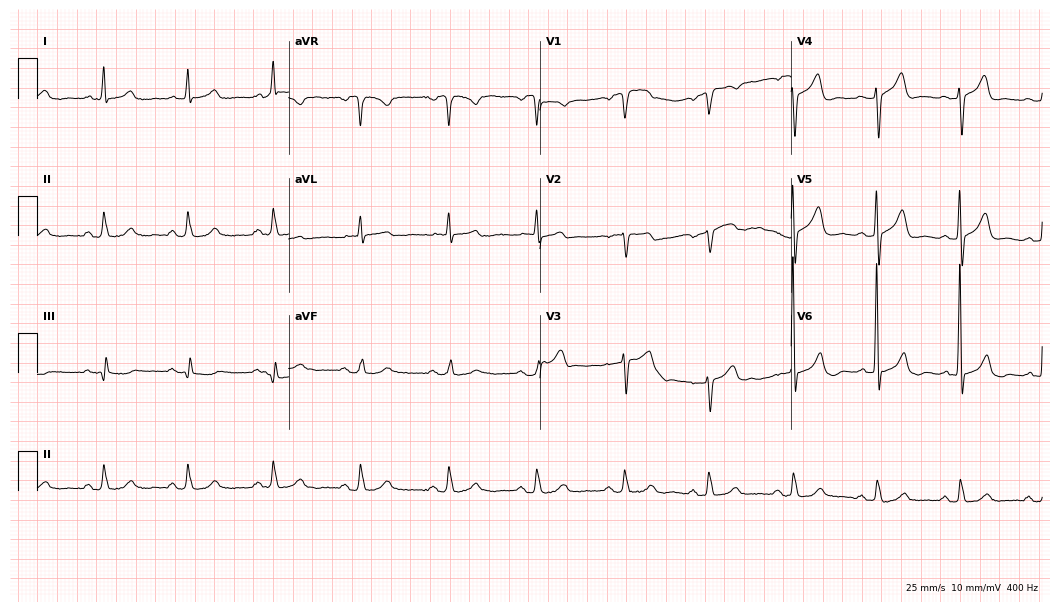
Standard 12-lead ECG recorded from a 75-year-old man. Read as a normal ECG.